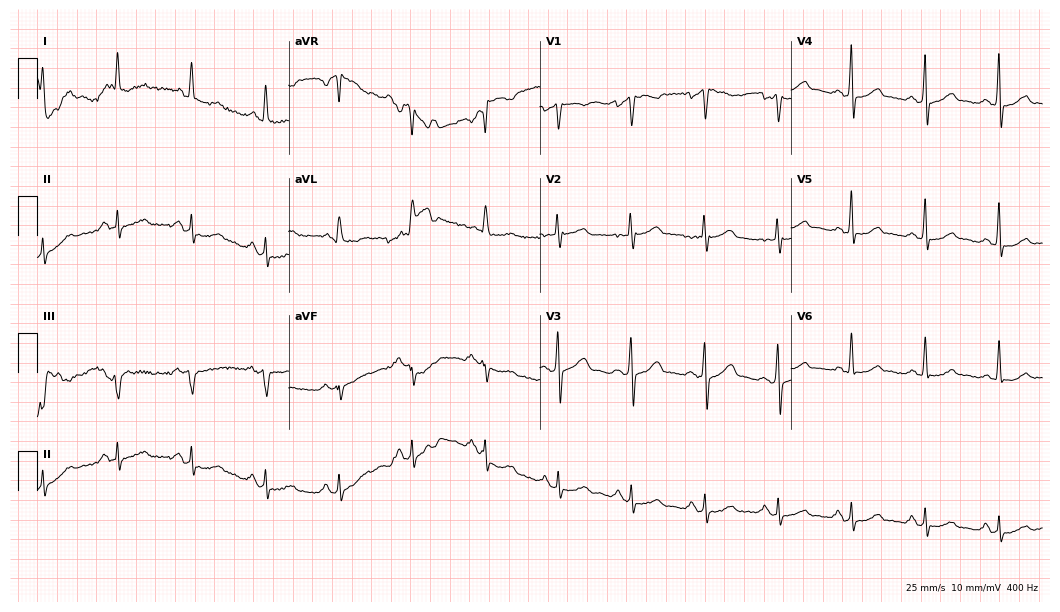
Electrocardiogram (10.2-second recording at 400 Hz), a male patient, 73 years old. Of the six screened findings (first-degree AV block, right bundle branch block (RBBB), left bundle branch block (LBBB), sinus bradycardia, atrial fibrillation (AF), sinus tachycardia), none is recorded. Findings outside these six are not listed.